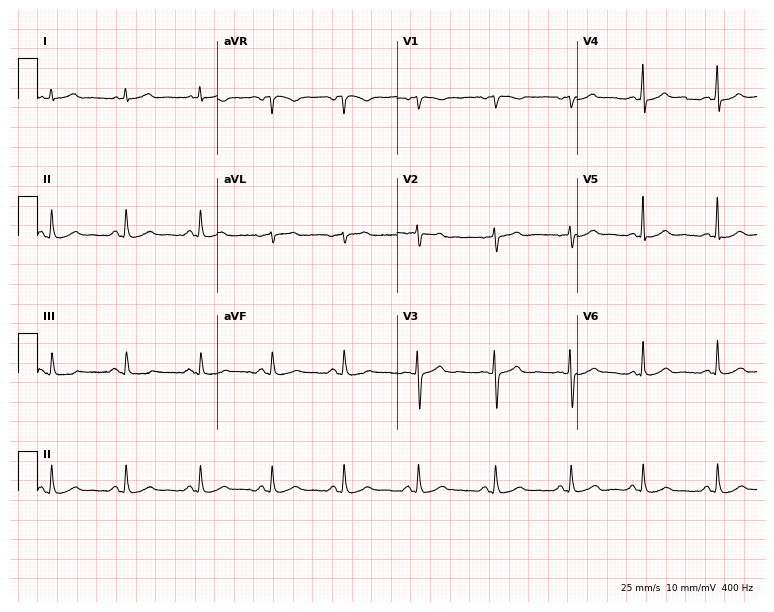
Resting 12-lead electrocardiogram. Patient: a 44-year-old female. Read as a normal ECG.